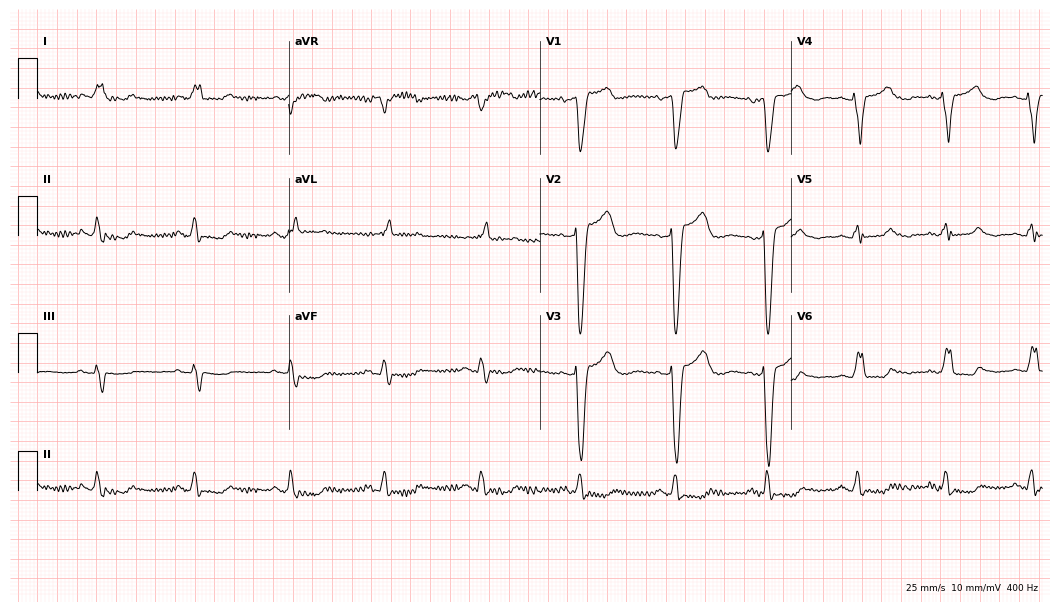
Electrocardiogram (10.2-second recording at 400 Hz), a female, 74 years old. Of the six screened findings (first-degree AV block, right bundle branch block (RBBB), left bundle branch block (LBBB), sinus bradycardia, atrial fibrillation (AF), sinus tachycardia), none is recorded. Other findings, if any, are not listed.